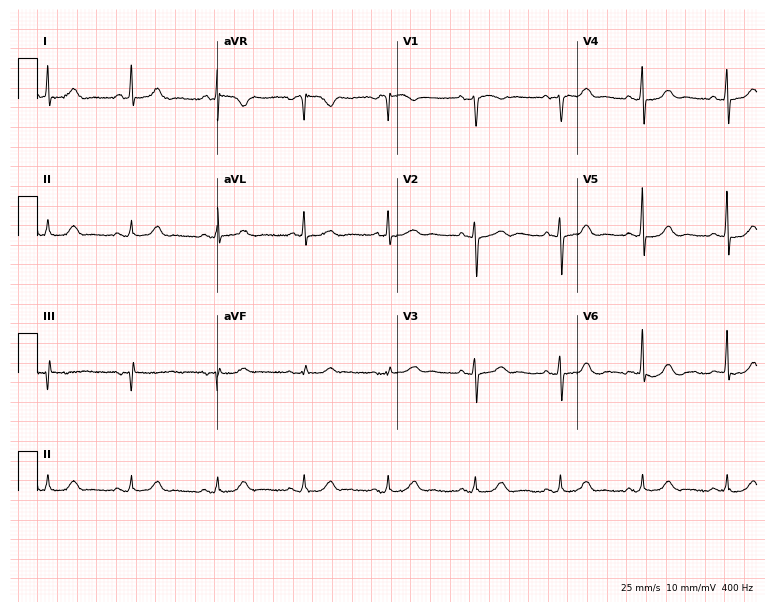
Standard 12-lead ECG recorded from a female patient, 61 years old (7.3-second recording at 400 Hz). Read as a normal ECG.